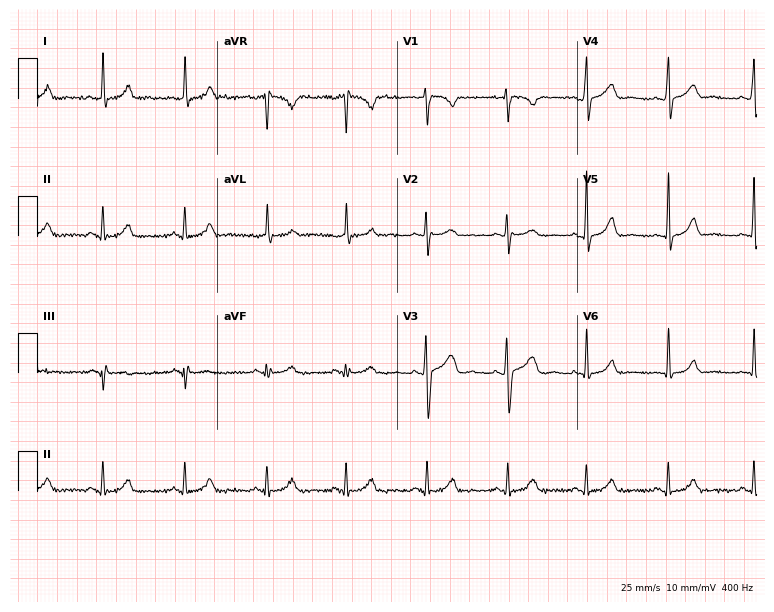
Standard 12-lead ECG recorded from a 38-year-old female. Read as a normal ECG.